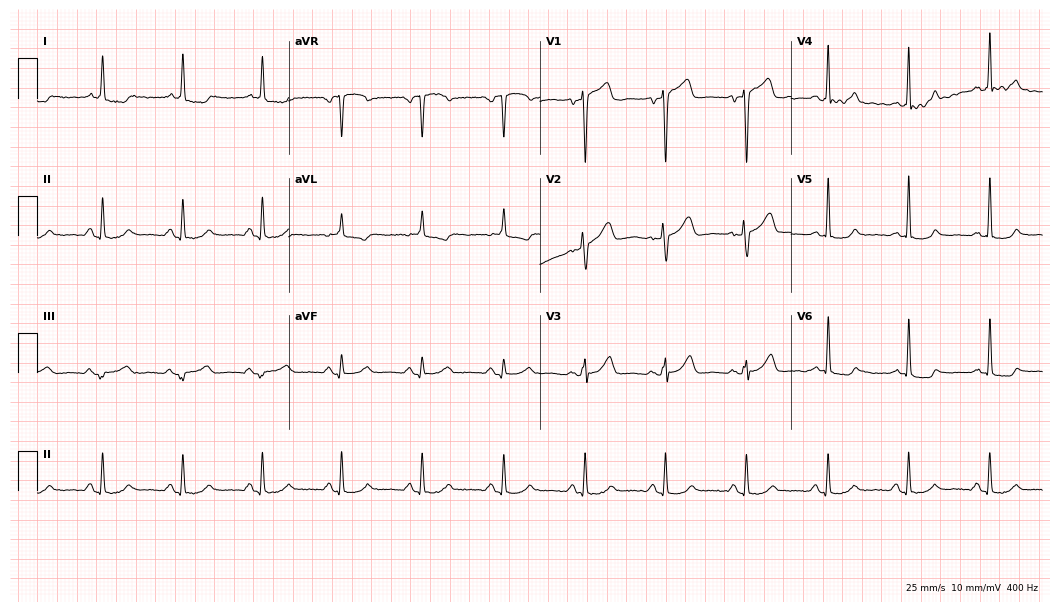
ECG (10.2-second recording at 400 Hz) — a 64-year-old man. Screened for six findings — first-degree AV block, right bundle branch block, left bundle branch block, sinus bradycardia, atrial fibrillation, sinus tachycardia — none is recorded.